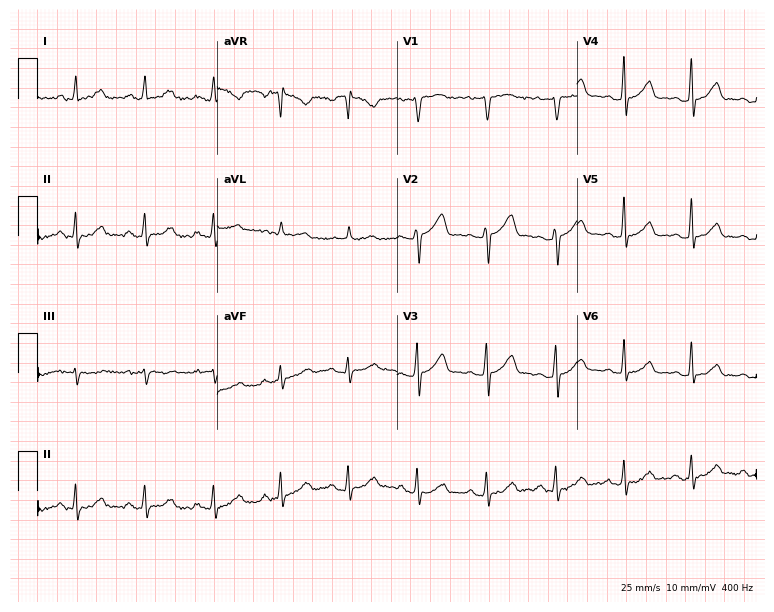
Standard 12-lead ECG recorded from a 38-year-old woman (7.3-second recording at 400 Hz). None of these six findings is recorded: first-degree AV block, right bundle branch block (RBBB), left bundle branch block (LBBB), sinus bradycardia, atrial fibrillation (AF), sinus tachycardia.